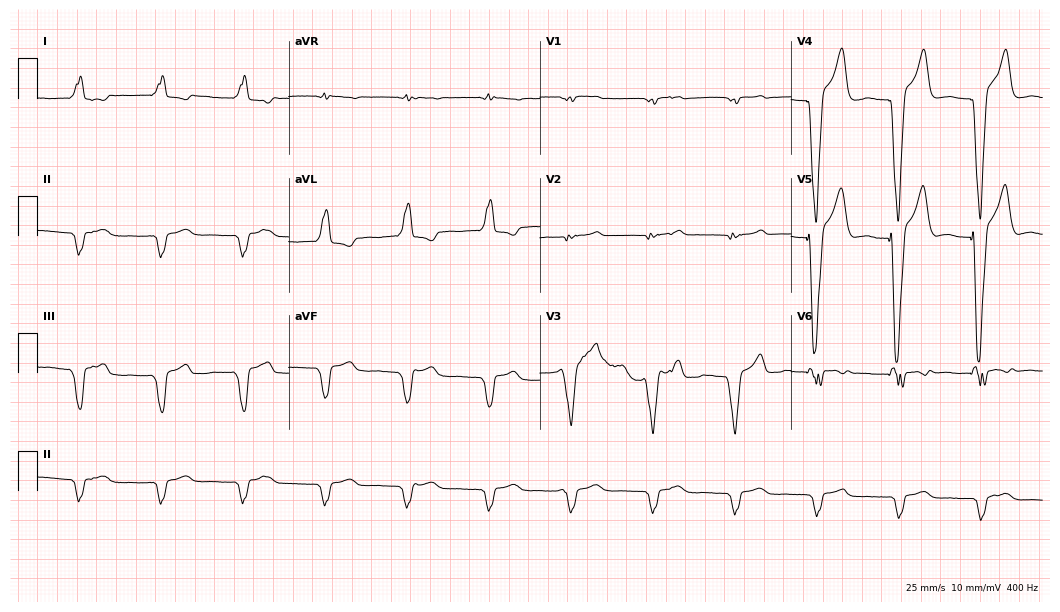
Electrocardiogram (10.2-second recording at 400 Hz), a male, 64 years old. Of the six screened findings (first-degree AV block, right bundle branch block (RBBB), left bundle branch block (LBBB), sinus bradycardia, atrial fibrillation (AF), sinus tachycardia), none is recorded.